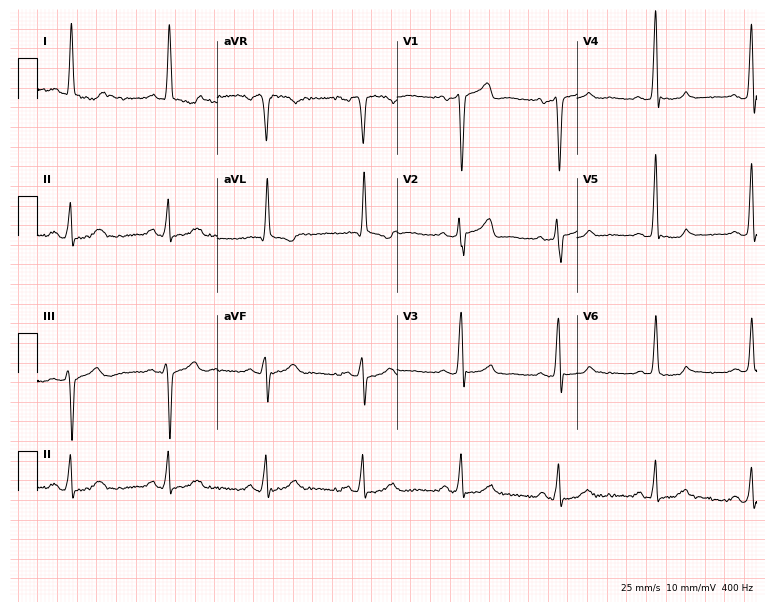
Electrocardiogram (7.3-second recording at 400 Hz), an 80-year-old male. Of the six screened findings (first-degree AV block, right bundle branch block, left bundle branch block, sinus bradycardia, atrial fibrillation, sinus tachycardia), none is recorded. Only these six findings were labelled.